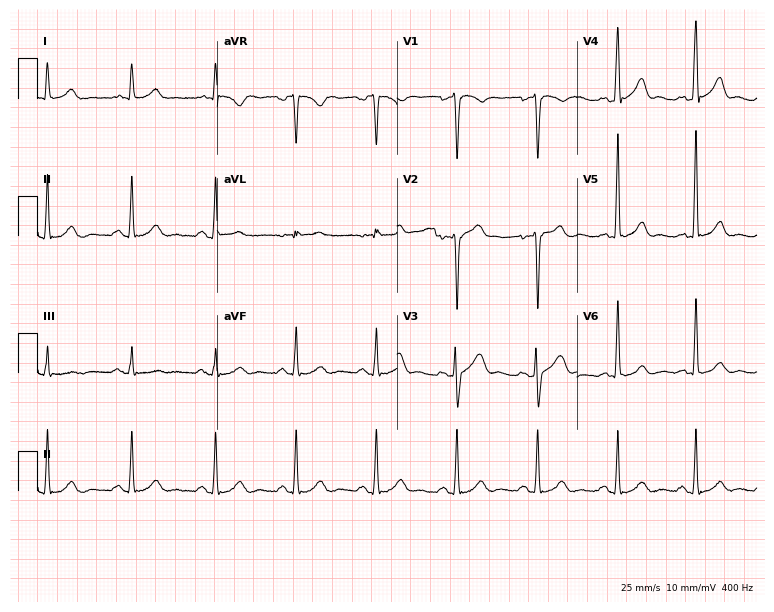
Resting 12-lead electrocardiogram. Patient: a 36-year-old man. Read as a normal ECG.